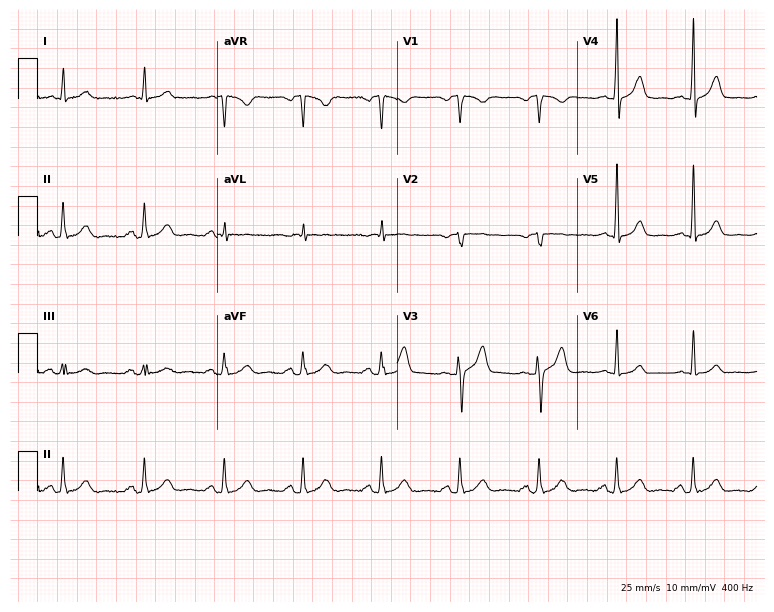
12-lead ECG (7.3-second recording at 400 Hz) from a 57-year-old male patient. Screened for six findings — first-degree AV block, right bundle branch block, left bundle branch block, sinus bradycardia, atrial fibrillation, sinus tachycardia — none is recorded.